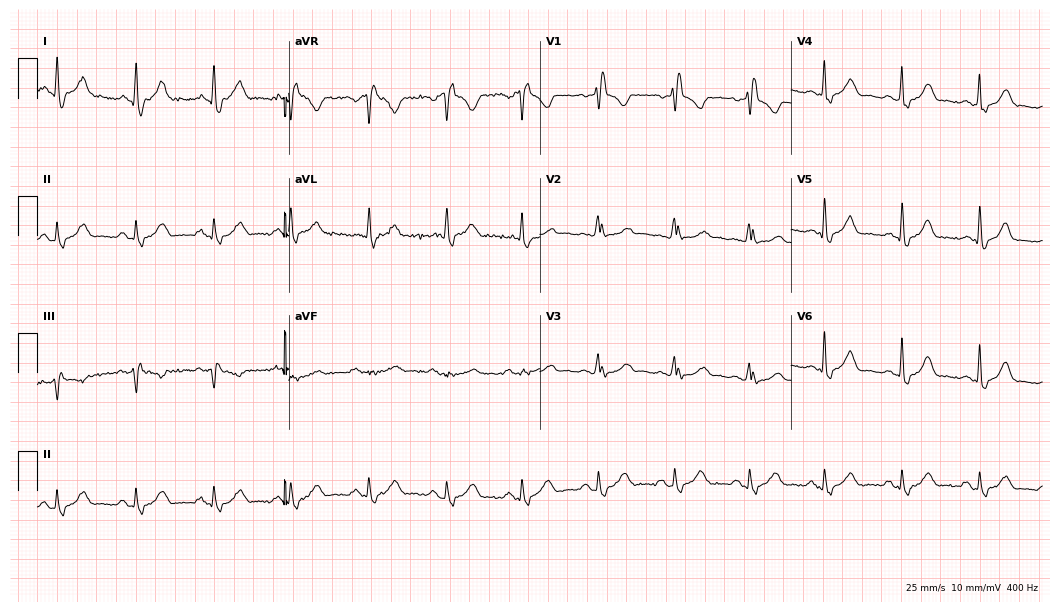
12-lead ECG from a female, 57 years old (10.2-second recording at 400 Hz). Shows right bundle branch block.